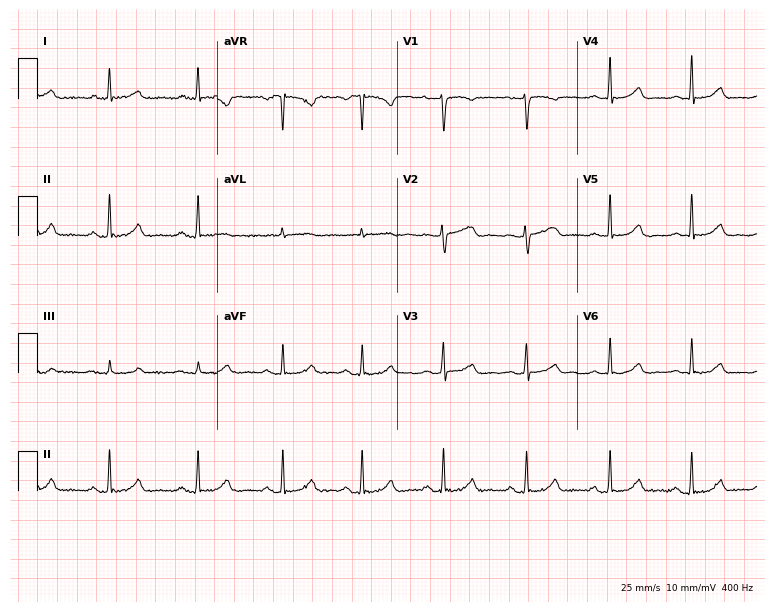
ECG — a 39-year-old female. Screened for six findings — first-degree AV block, right bundle branch block, left bundle branch block, sinus bradycardia, atrial fibrillation, sinus tachycardia — none is recorded. Only these six findings were labelled.